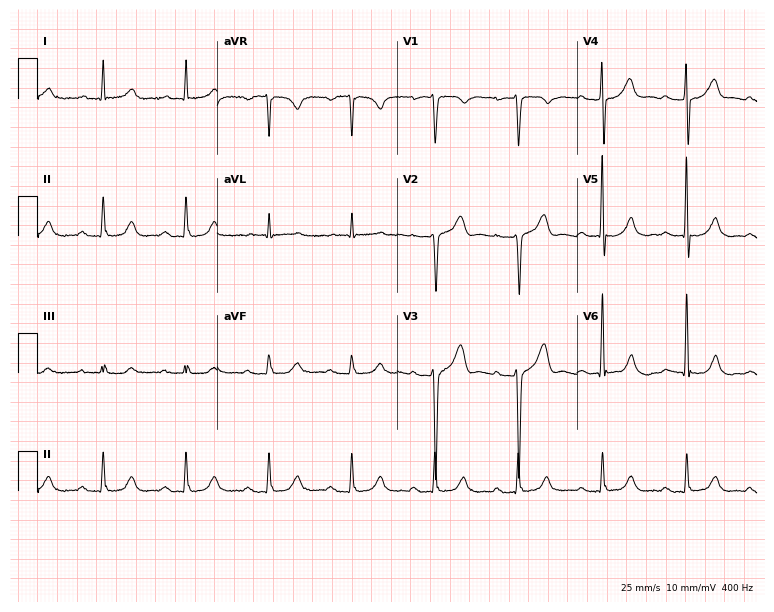
12-lead ECG from a male, 85 years old. Recorded interpretation: within normal limits.